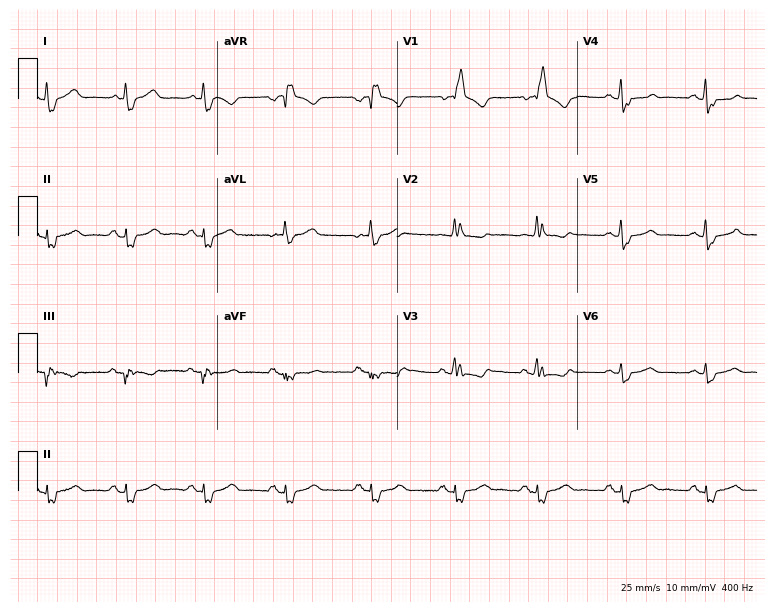
ECG — a female patient, 65 years old. Findings include right bundle branch block (RBBB).